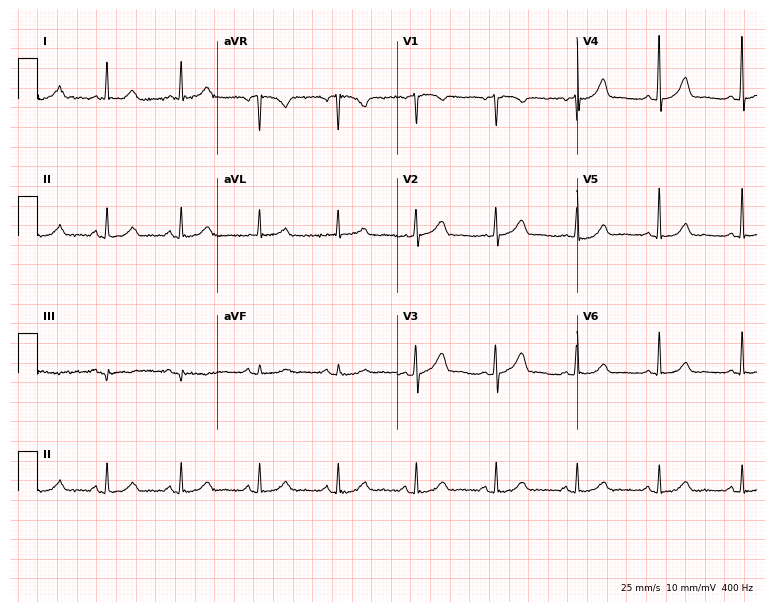
12-lead ECG from a 59-year-old woman. No first-degree AV block, right bundle branch block (RBBB), left bundle branch block (LBBB), sinus bradycardia, atrial fibrillation (AF) or sinus tachycardia recorded for this tracing. Findings outside these six are not listed.